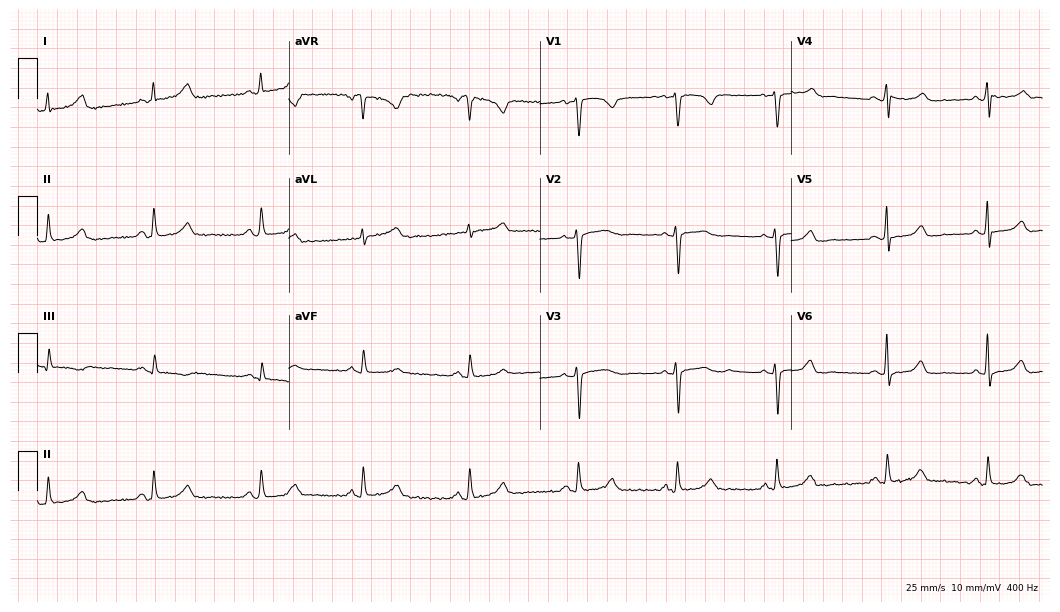
ECG (10.2-second recording at 400 Hz) — a 54-year-old female patient. Labelled as a normal ECG.